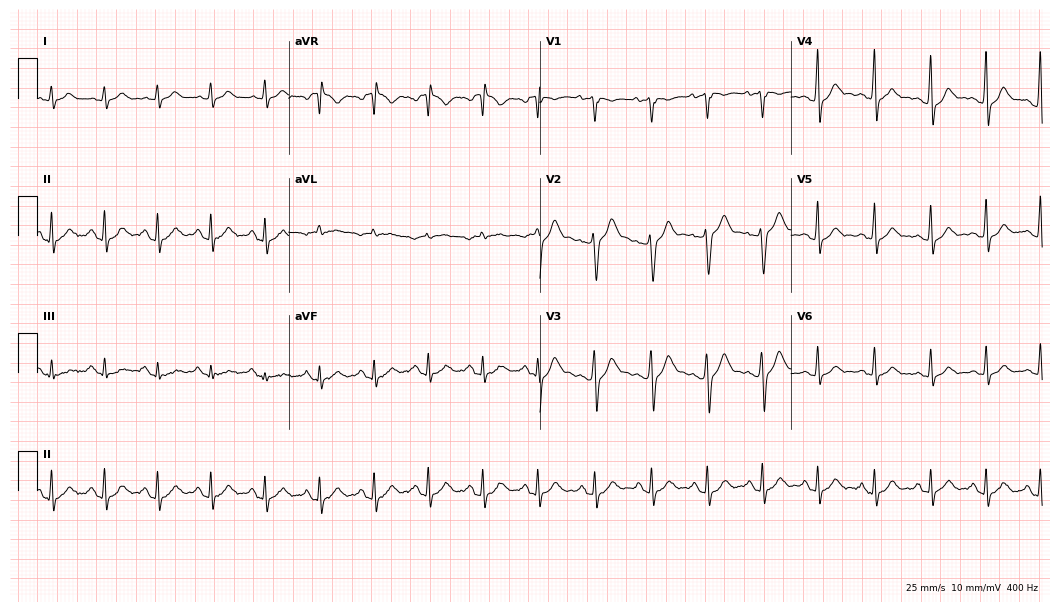
12-lead ECG from a man, 31 years old. Findings include sinus tachycardia (a sinus rate of 100 beats per minute or more).